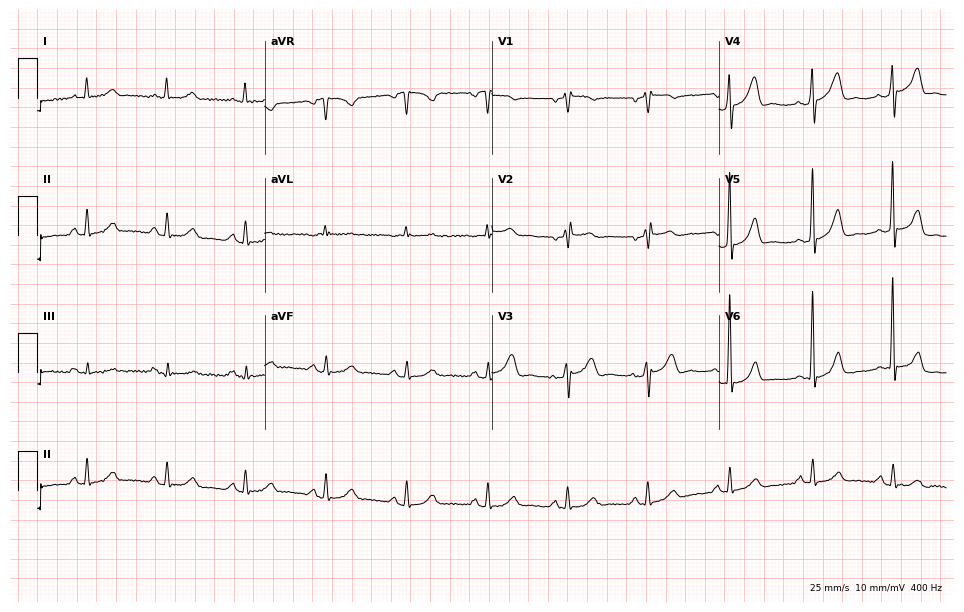
ECG — a 51-year-old male patient. Labelled as a normal ECG.